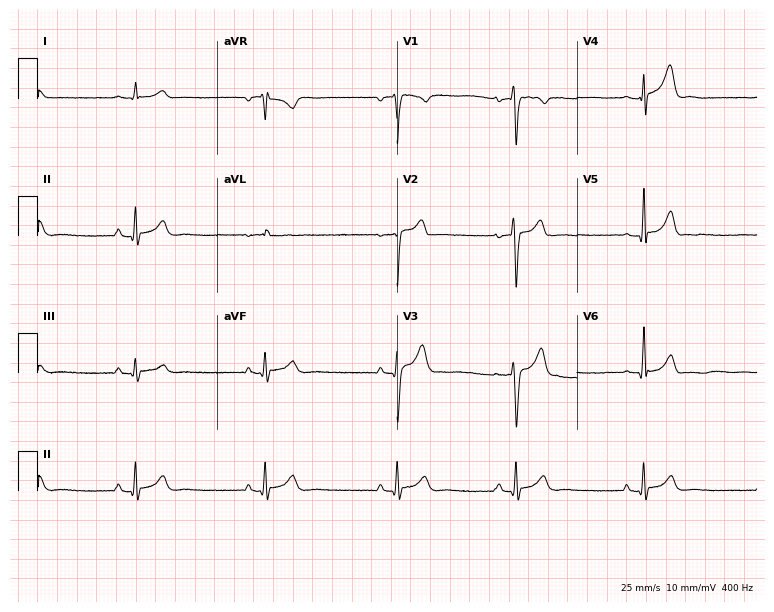
ECG — a man, 22 years old. Labelled as a normal ECG.